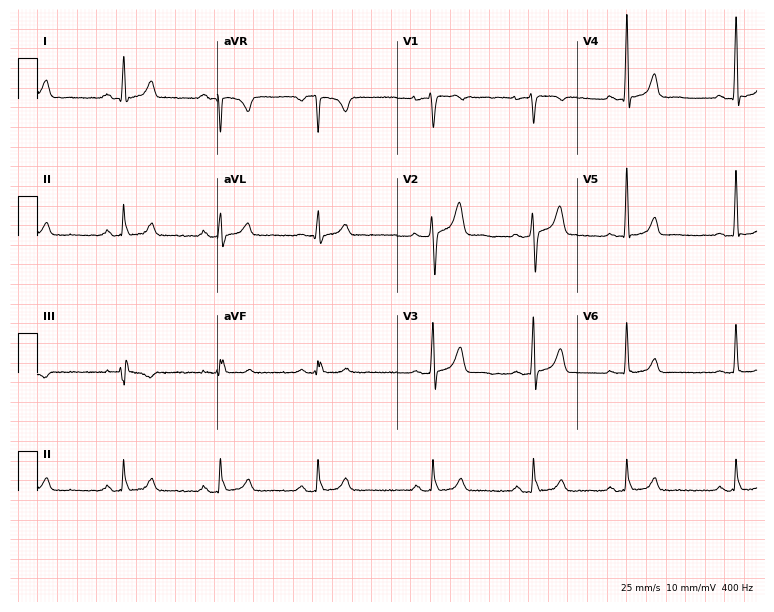
12-lead ECG from a 39-year-old man. Recorded interpretation: within normal limits.